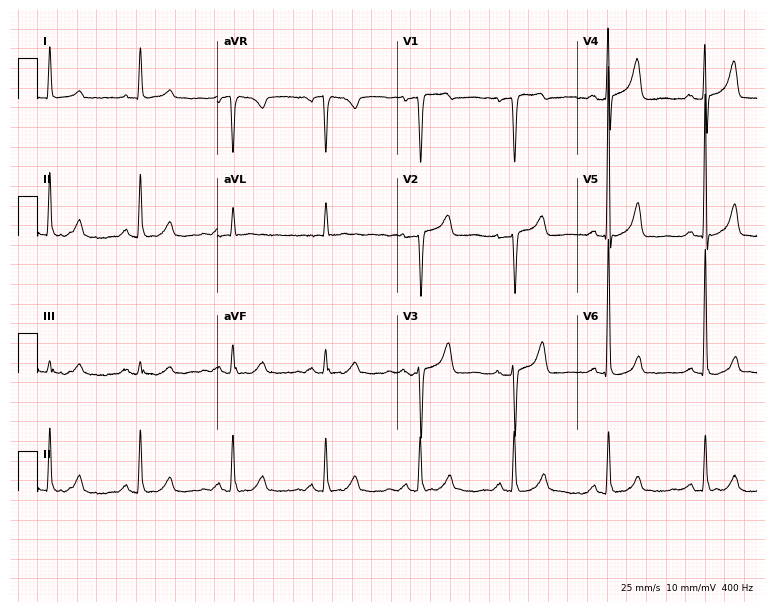
Standard 12-lead ECG recorded from an 80-year-old woman (7.3-second recording at 400 Hz). None of these six findings is recorded: first-degree AV block, right bundle branch block (RBBB), left bundle branch block (LBBB), sinus bradycardia, atrial fibrillation (AF), sinus tachycardia.